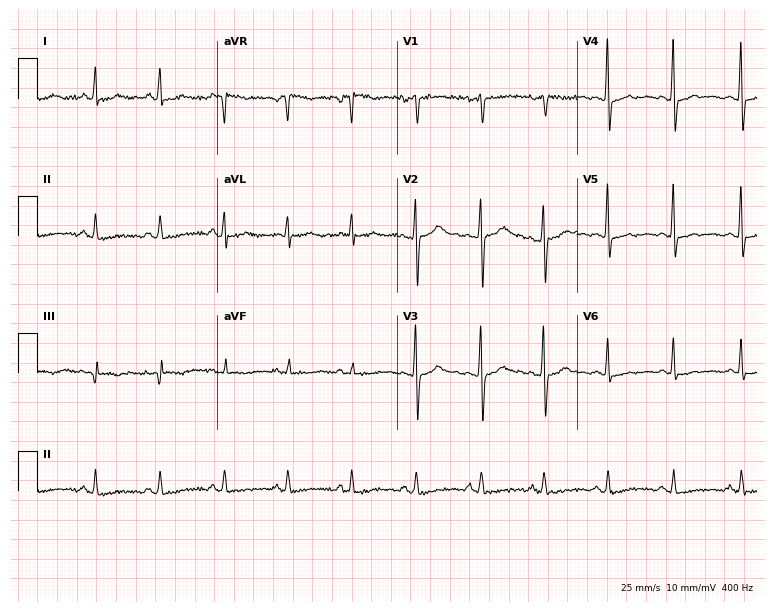
Electrocardiogram, a woman, 44 years old. Of the six screened findings (first-degree AV block, right bundle branch block, left bundle branch block, sinus bradycardia, atrial fibrillation, sinus tachycardia), none is recorded. Other findings, if any, are not listed.